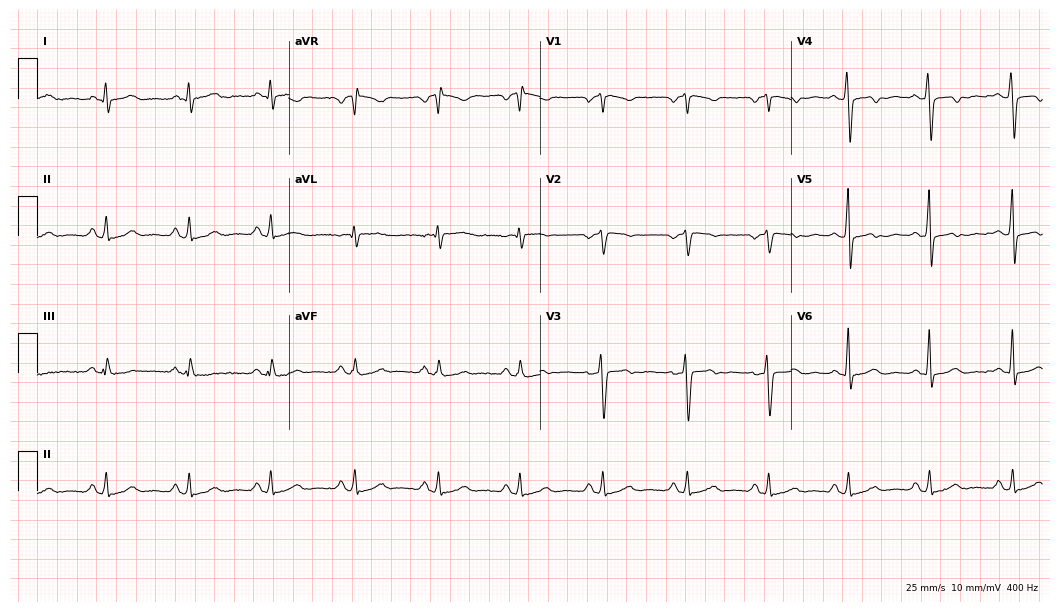
12-lead ECG from a 27-year-old female patient. Screened for six findings — first-degree AV block, right bundle branch block, left bundle branch block, sinus bradycardia, atrial fibrillation, sinus tachycardia — none is recorded.